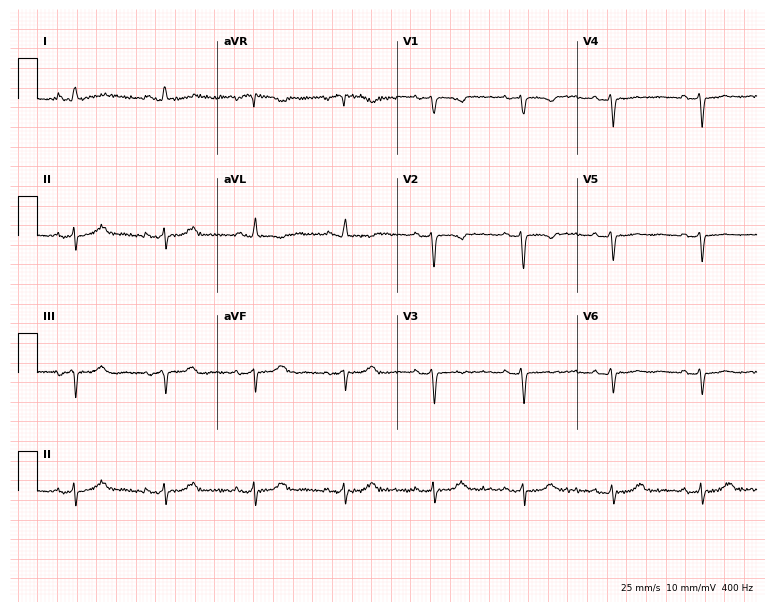
Standard 12-lead ECG recorded from a 68-year-old male. None of these six findings is recorded: first-degree AV block, right bundle branch block, left bundle branch block, sinus bradycardia, atrial fibrillation, sinus tachycardia. Other findings, if any, are not listed.